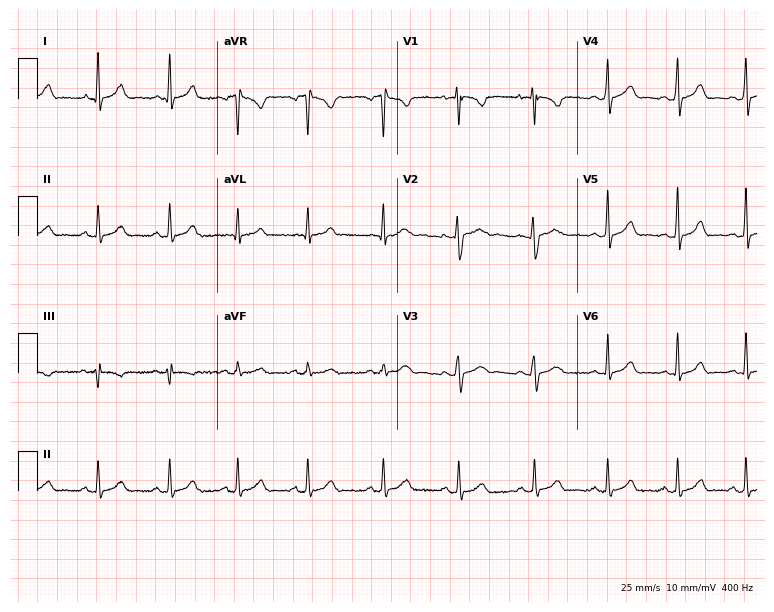
Resting 12-lead electrocardiogram (7.3-second recording at 400 Hz). Patient: a 20-year-old woman. Read as a normal ECG.